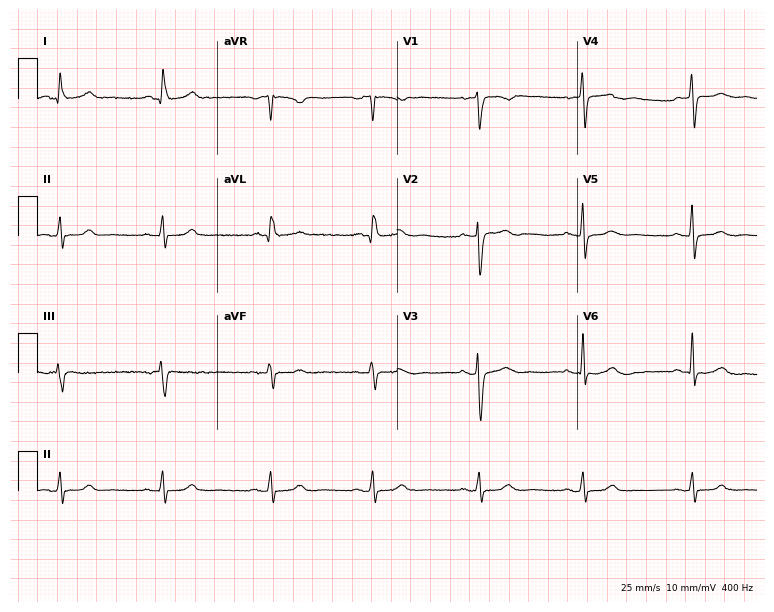
12-lead ECG from a 48-year-old female patient (7.3-second recording at 400 Hz). Recorded interpretation: within normal limits.